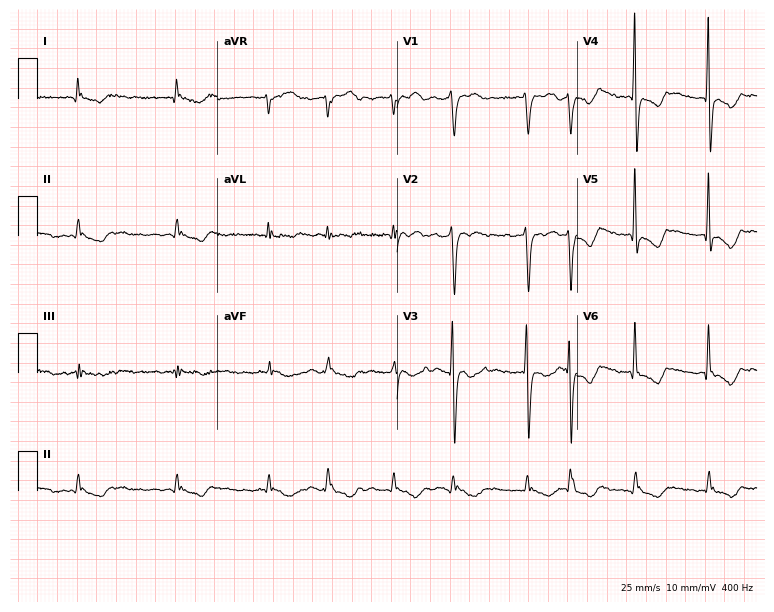
Standard 12-lead ECG recorded from a 69-year-old man. The tracing shows atrial fibrillation.